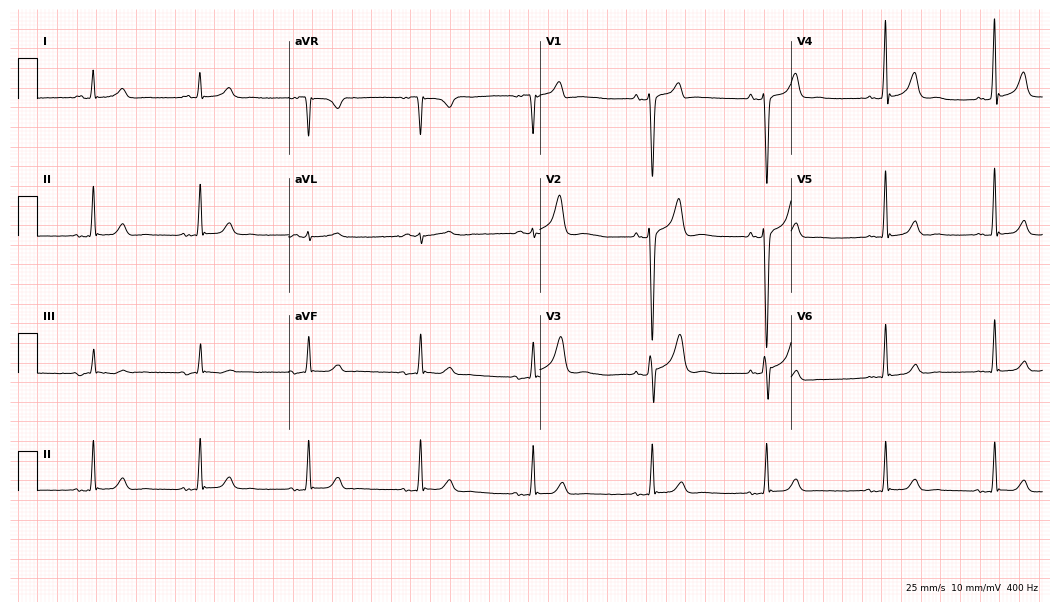
Standard 12-lead ECG recorded from a male patient, 59 years old (10.2-second recording at 400 Hz). Read as a normal ECG.